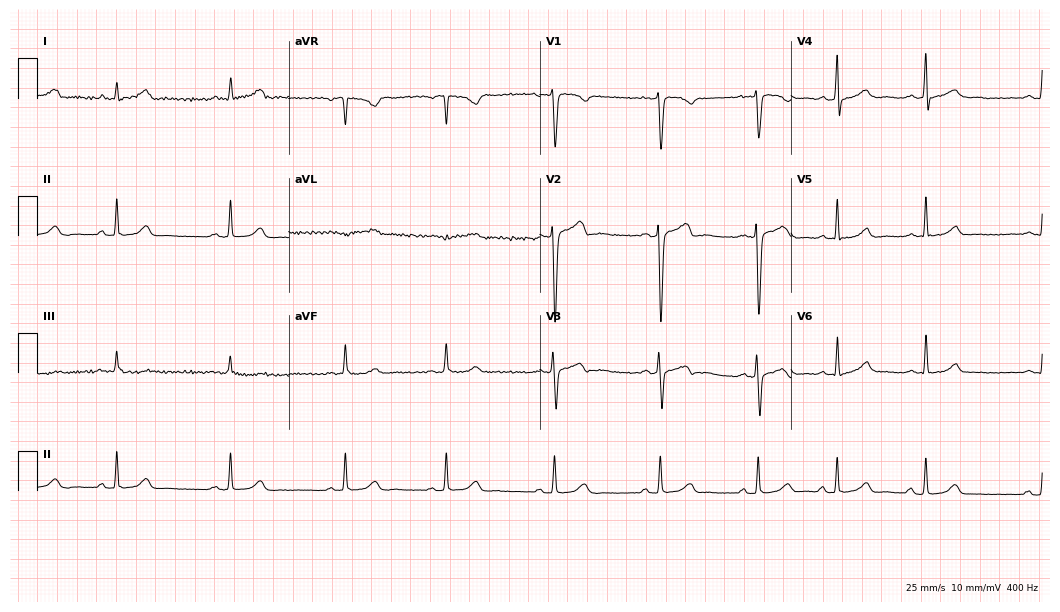
Standard 12-lead ECG recorded from a woman, 28 years old. None of these six findings is recorded: first-degree AV block, right bundle branch block, left bundle branch block, sinus bradycardia, atrial fibrillation, sinus tachycardia. Other findings, if any, are not listed.